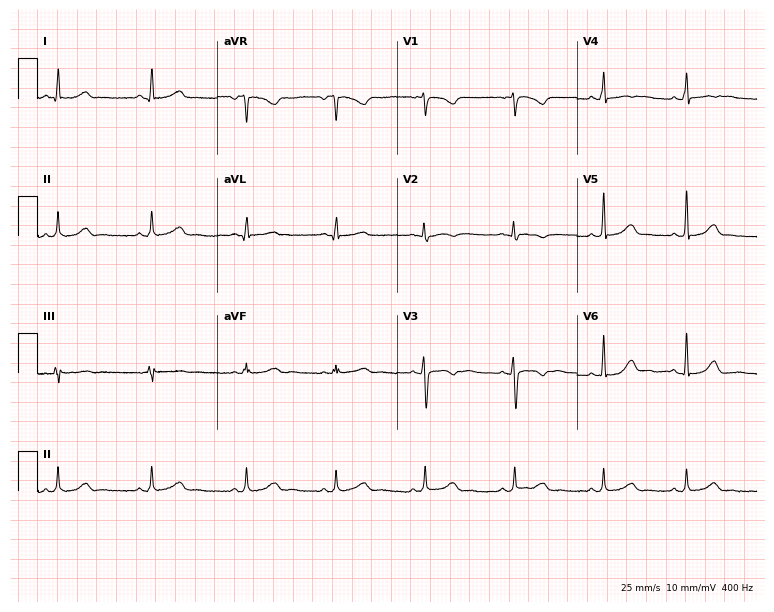
12-lead ECG from a 20-year-old female patient. Labelled as a normal ECG.